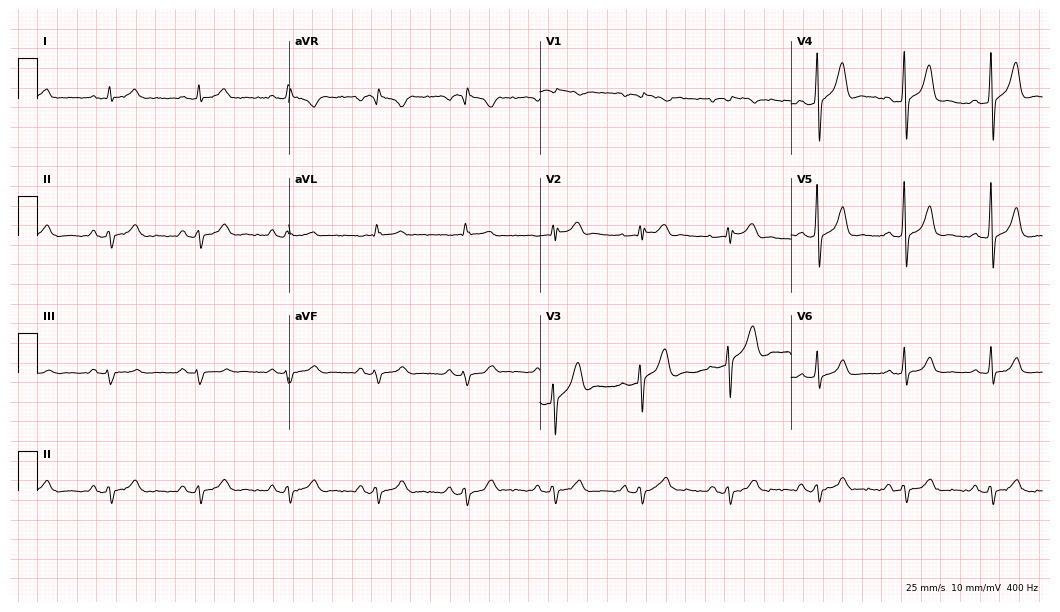
Standard 12-lead ECG recorded from a 63-year-old man. Read as a normal ECG.